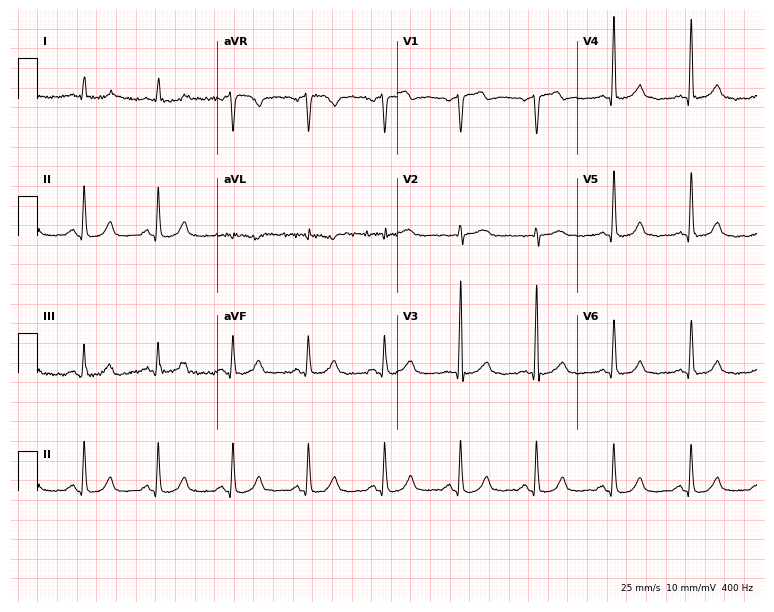
12-lead ECG from a 75-year-old man. Labelled as a normal ECG.